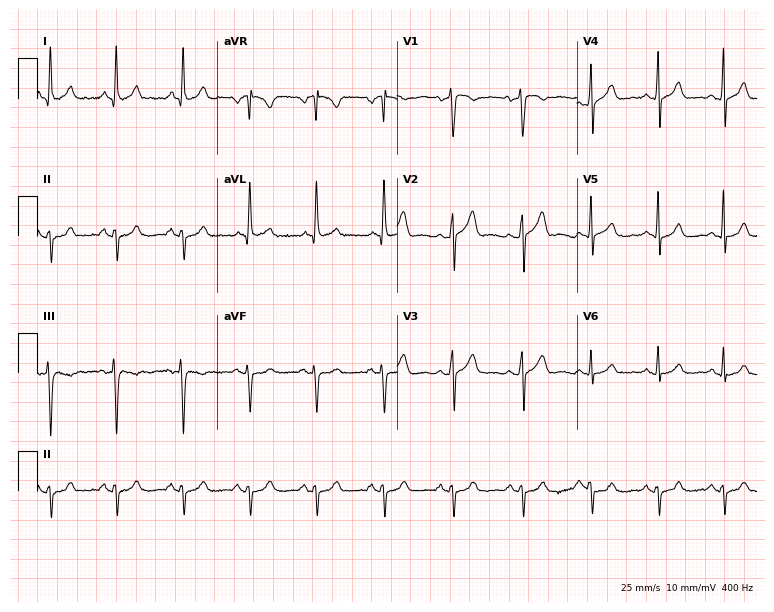
ECG — a 50-year-old man. Screened for six findings — first-degree AV block, right bundle branch block, left bundle branch block, sinus bradycardia, atrial fibrillation, sinus tachycardia — none is recorded.